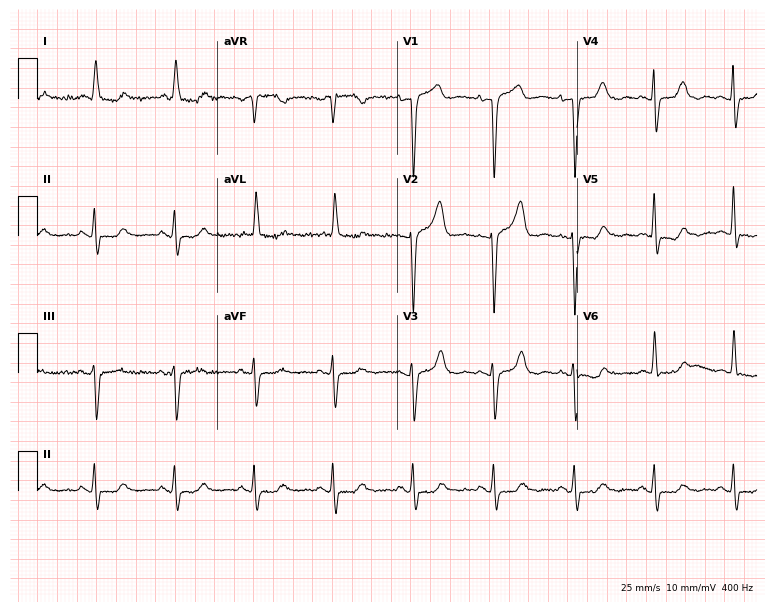
12-lead ECG from an 84-year-old woman. No first-degree AV block, right bundle branch block (RBBB), left bundle branch block (LBBB), sinus bradycardia, atrial fibrillation (AF) or sinus tachycardia recorded for this tracing. Other findings, if any, are not listed.